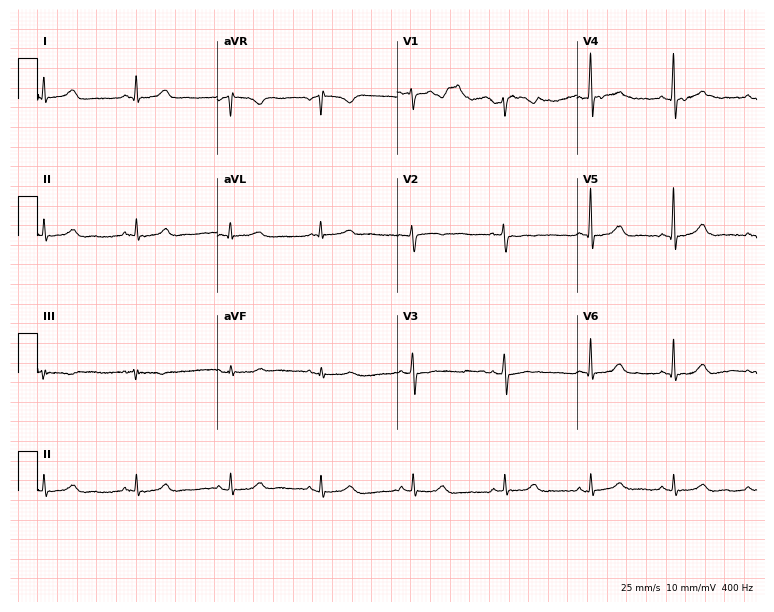
Electrocardiogram, a 37-year-old female patient. Overall reading on record: normal ECG.